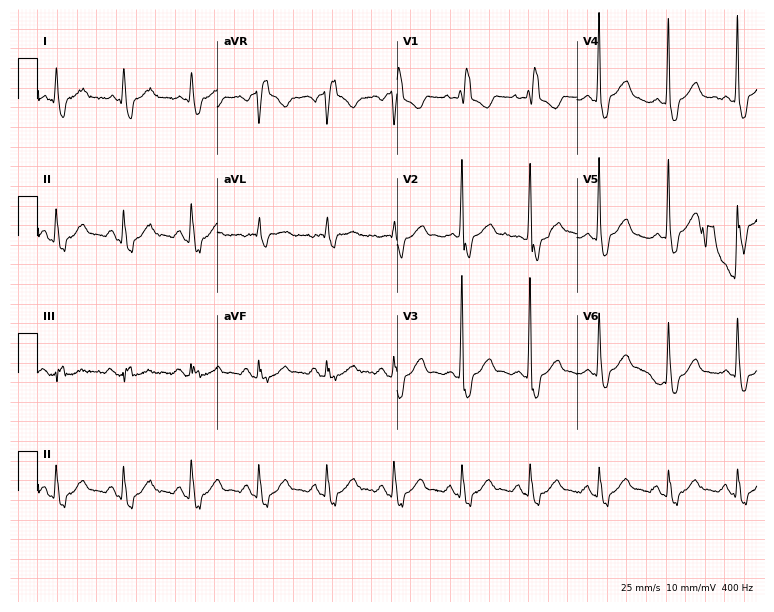
12-lead ECG from a 71-year-old female (7.3-second recording at 400 Hz). Shows right bundle branch block (RBBB).